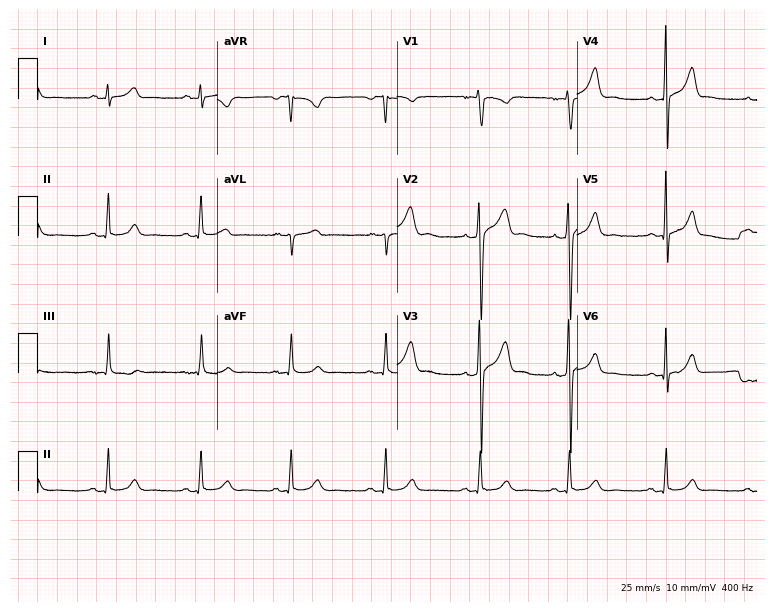
ECG (7.3-second recording at 400 Hz) — a male patient, 18 years old. Labelled as a normal ECG.